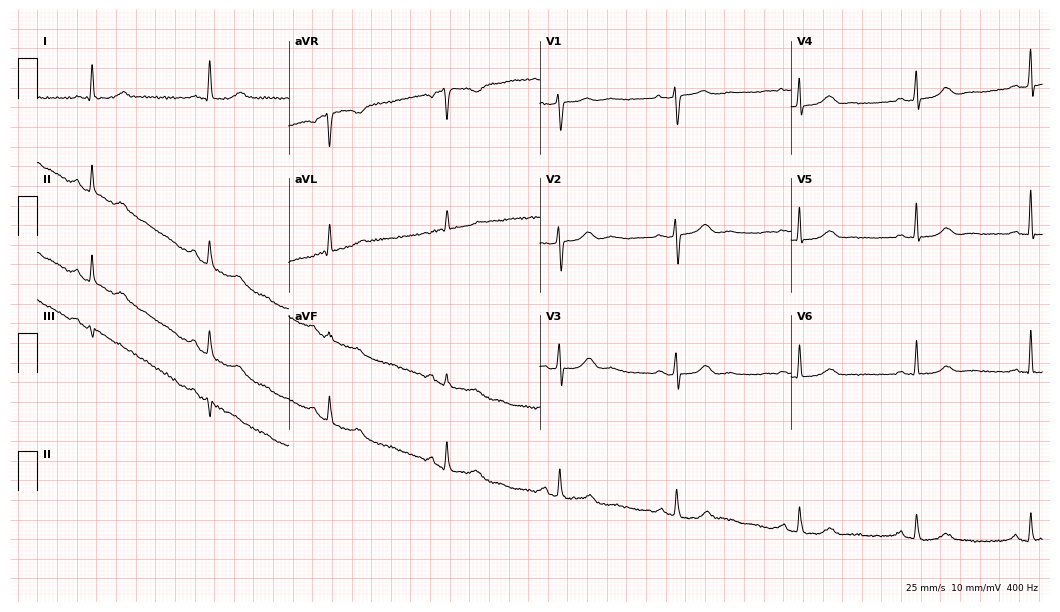
Standard 12-lead ECG recorded from a female patient, 64 years old (10.2-second recording at 400 Hz). None of these six findings is recorded: first-degree AV block, right bundle branch block, left bundle branch block, sinus bradycardia, atrial fibrillation, sinus tachycardia. Only these six findings were labelled.